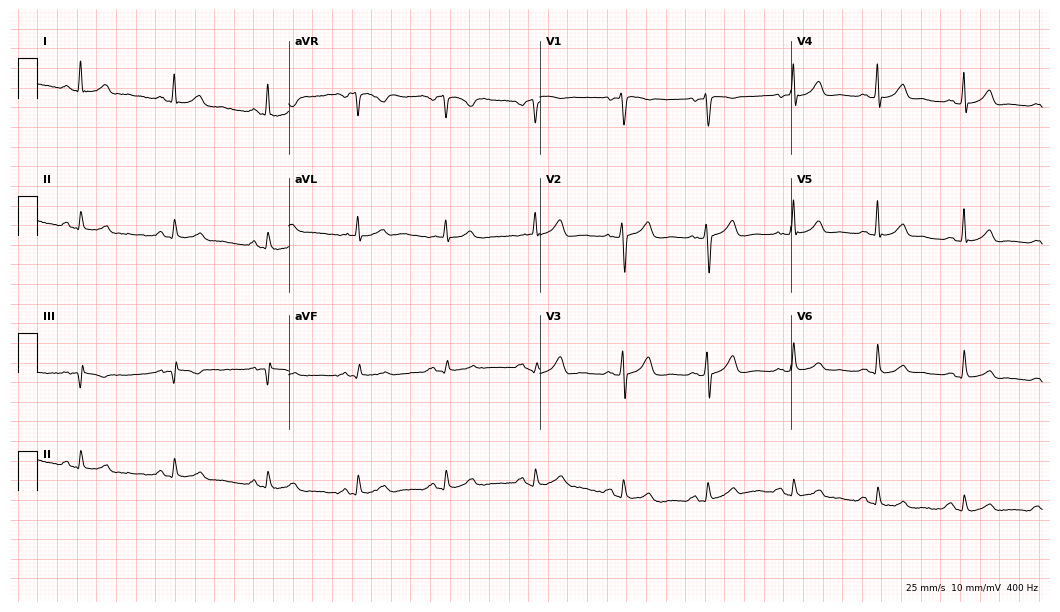
12-lead ECG from a 58-year-old female patient. Screened for six findings — first-degree AV block, right bundle branch block, left bundle branch block, sinus bradycardia, atrial fibrillation, sinus tachycardia — none is recorded. Only these six findings were labelled.